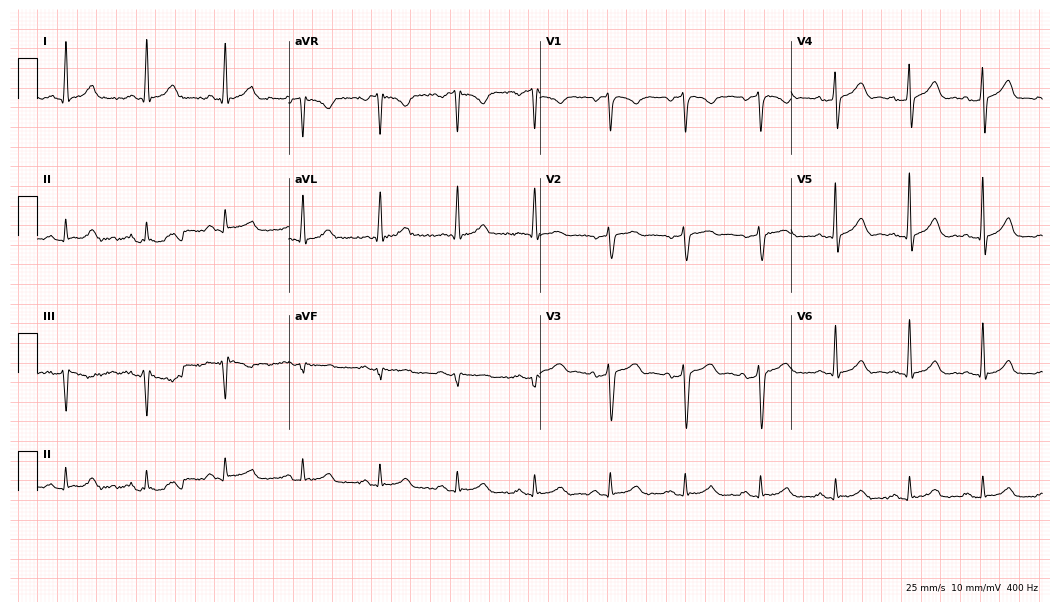
ECG — a 65-year-old male patient. Labelled as a normal ECG.